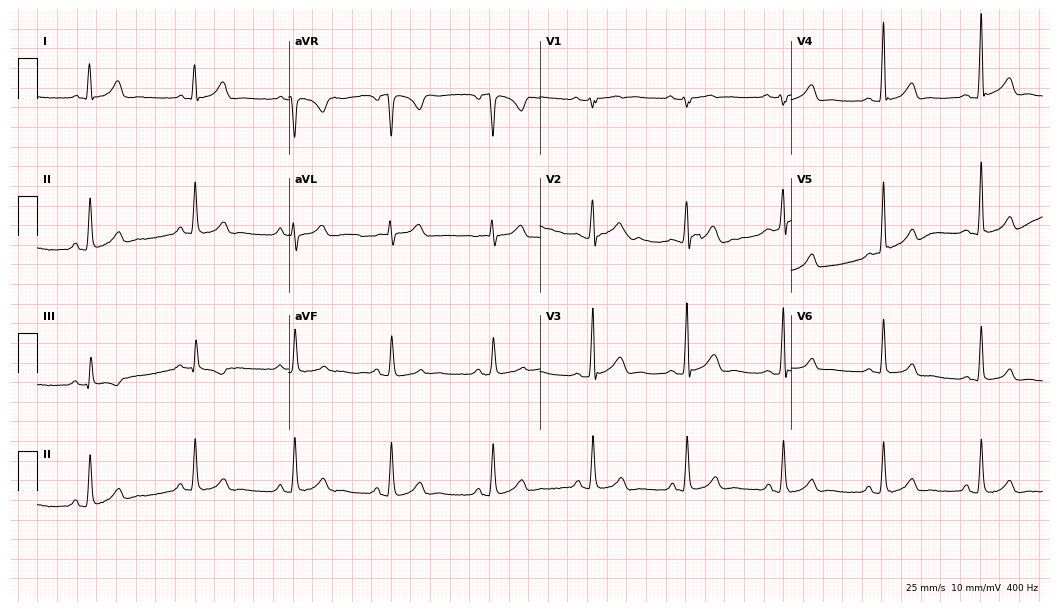
ECG (10.2-second recording at 400 Hz) — a man, 43 years old. Screened for six findings — first-degree AV block, right bundle branch block, left bundle branch block, sinus bradycardia, atrial fibrillation, sinus tachycardia — none is recorded. Only these six findings were labelled.